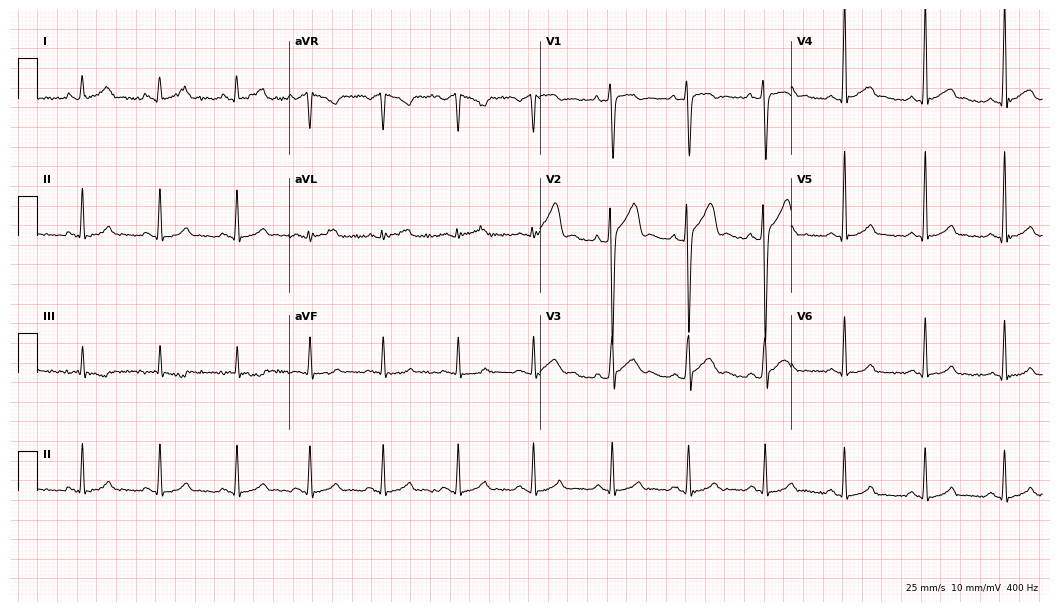
Resting 12-lead electrocardiogram (10.2-second recording at 400 Hz). Patient: a 26-year-old male. Read as a normal ECG.